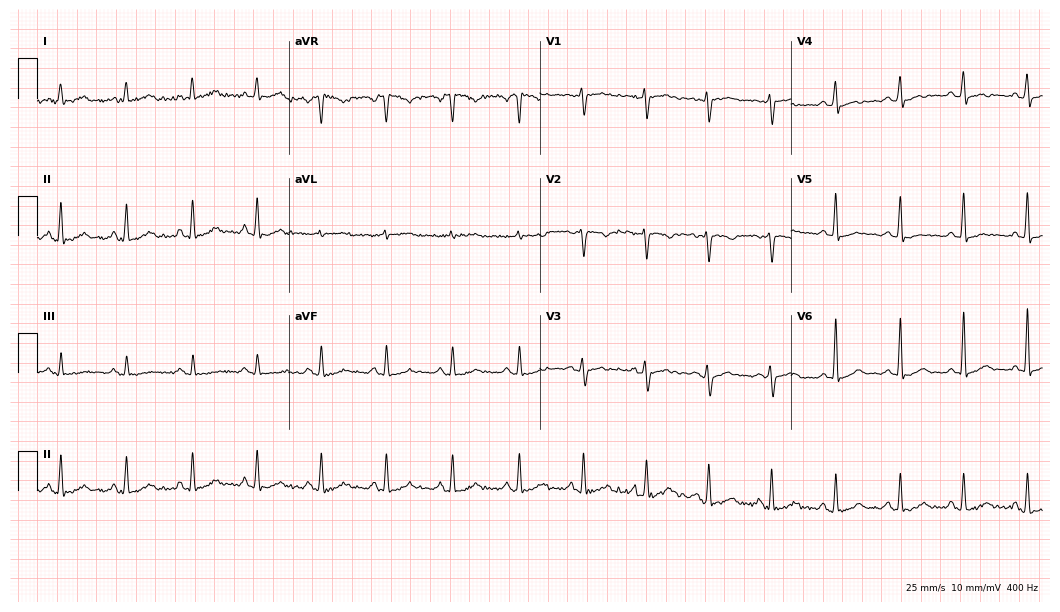
12-lead ECG from a 31-year-old woman (10.2-second recording at 400 Hz). No first-degree AV block, right bundle branch block (RBBB), left bundle branch block (LBBB), sinus bradycardia, atrial fibrillation (AF) or sinus tachycardia recorded for this tracing. Only these six findings were labelled.